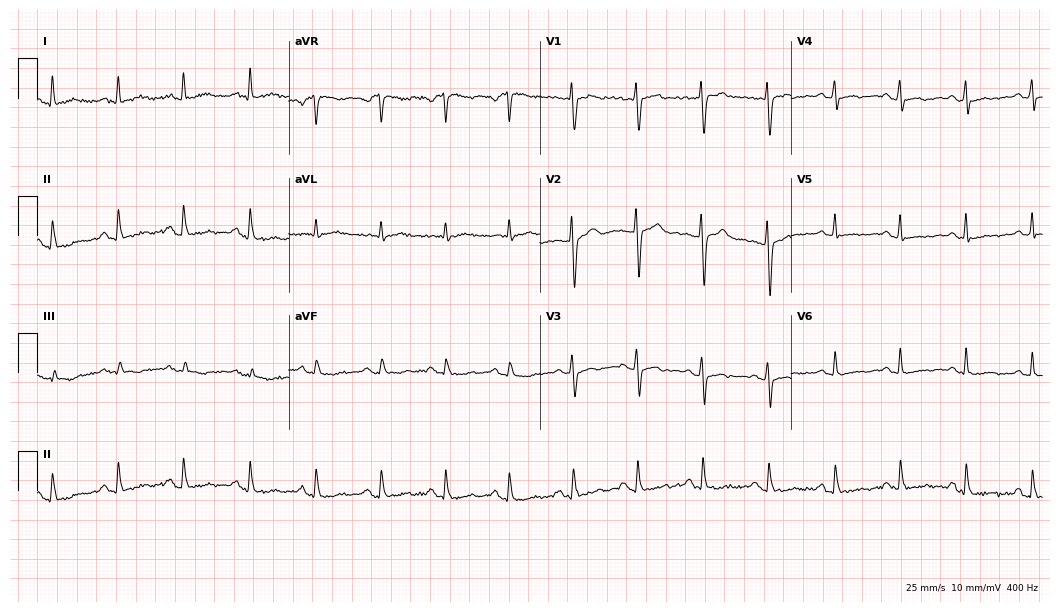
Standard 12-lead ECG recorded from a woman, 51 years old. Read as a normal ECG.